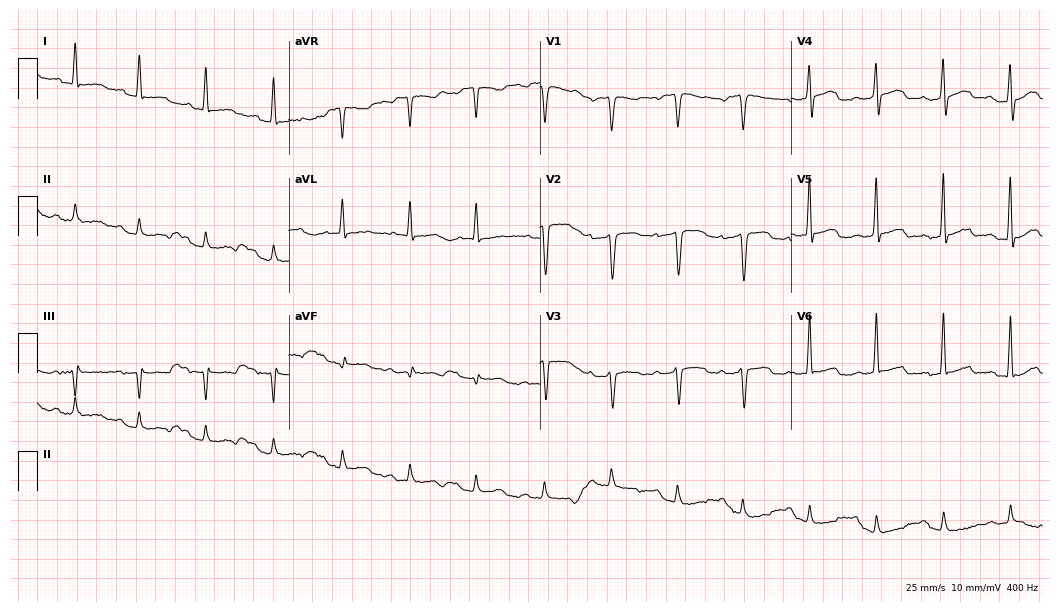
Electrocardiogram (10.2-second recording at 400 Hz), a 48-year-old man. Interpretation includes first-degree AV block.